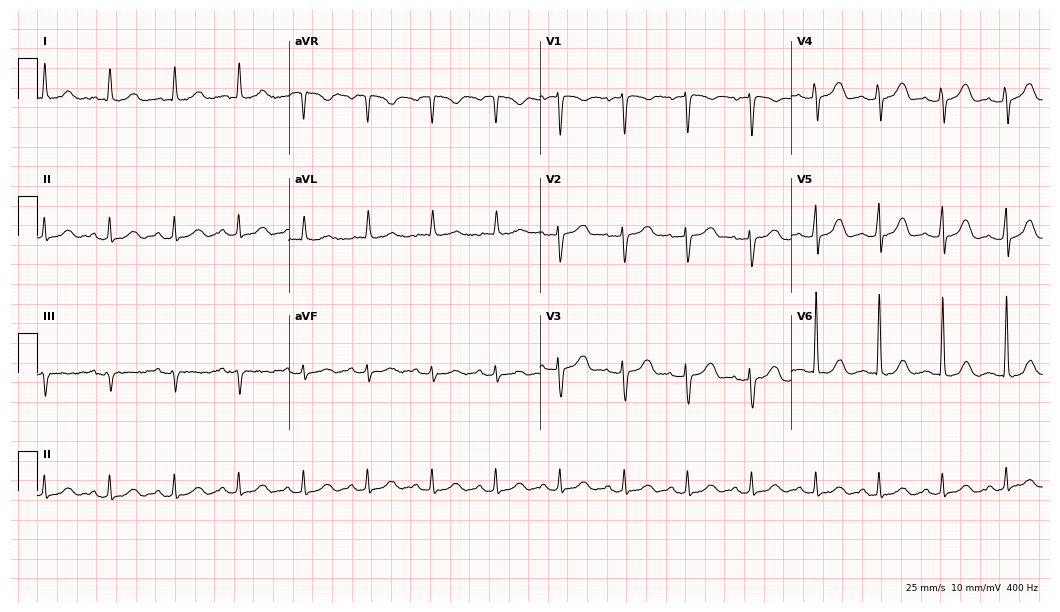
12-lead ECG from a female patient, 75 years old. No first-degree AV block, right bundle branch block (RBBB), left bundle branch block (LBBB), sinus bradycardia, atrial fibrillation (AF) or sinus tachycardia recorded for this tracing. Other findings, if any, are not listed.